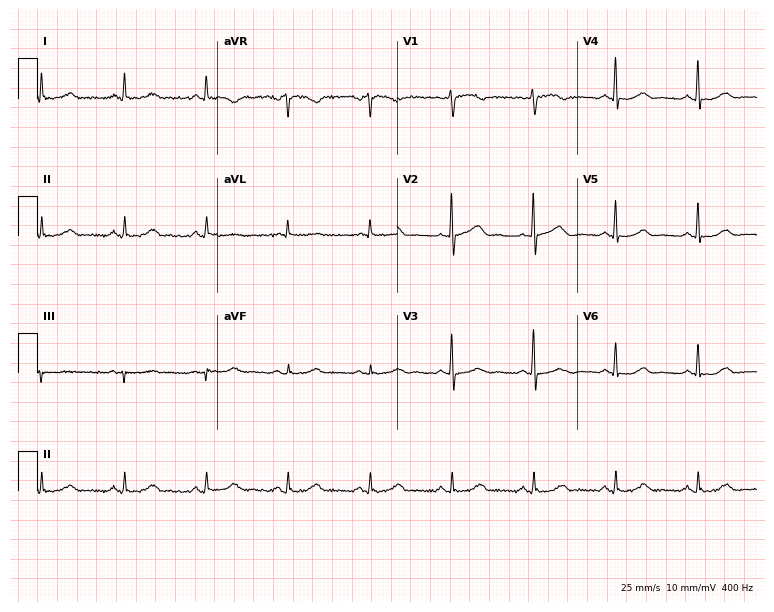
12-lead ECG from a female, 65 years old. Recorded interpretation: within normal limits.